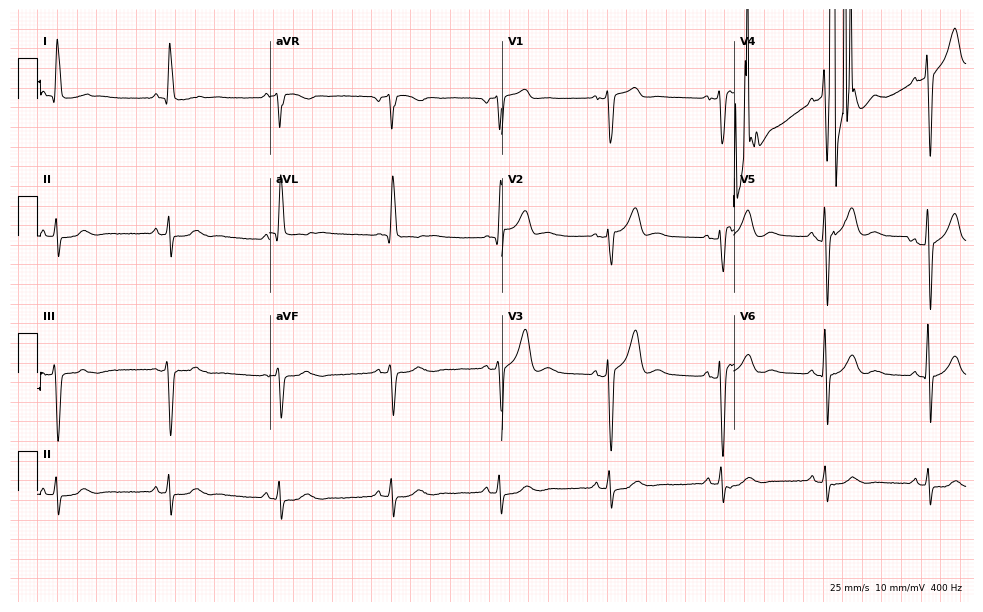
ECG (9.5-second recording at 400 Hz) — a 75-year-old male. Screened for six findings — first-degree AV block, right bundle branch block (RBBB), left bundle branch block (LBBB), sinus bradycardia, atrial fibrillation (AF), sinus tachycardia — none is recorded. Only these six findings were labelled.